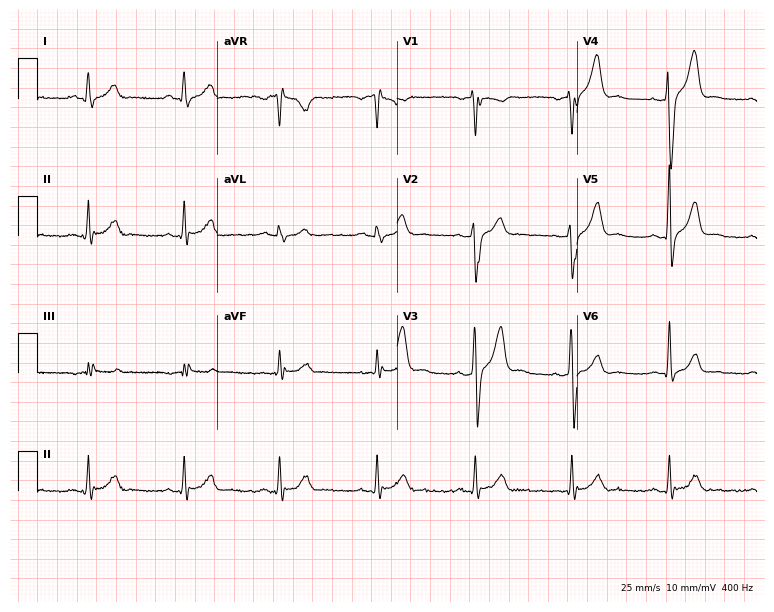
12-lead ECG (7.3-second recording at 400 Hz) from a 39-year-old male patient. Screened for six findings — first-degree AV block, right bundle branch block (RBBB), left bundle branch block (LBBB), sinus bradycardia, atrial fibrillation (AF), sinus tachycardia — none is recorded.